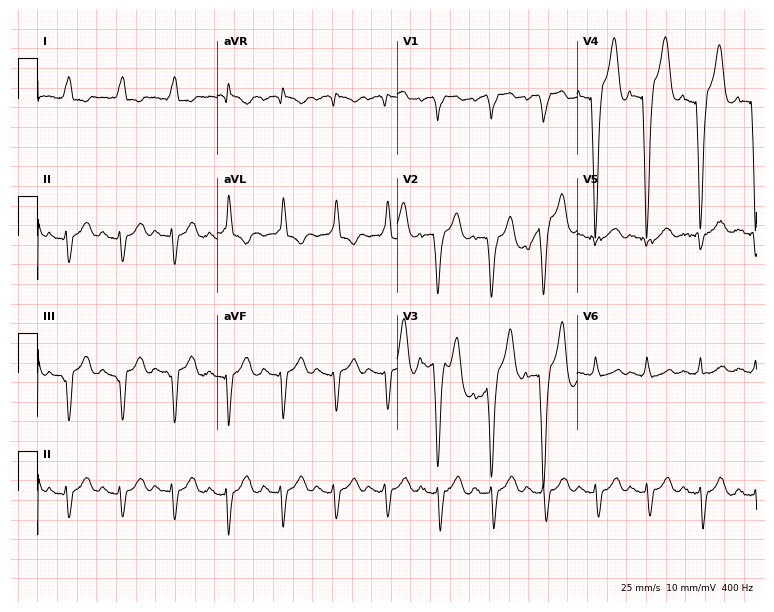
12-lead ECG (7.3-second recording at 400 Hz) from an 85-year-old male. Findings include sinus tachycardia (a sinus rate of 100 beats per minute or more).